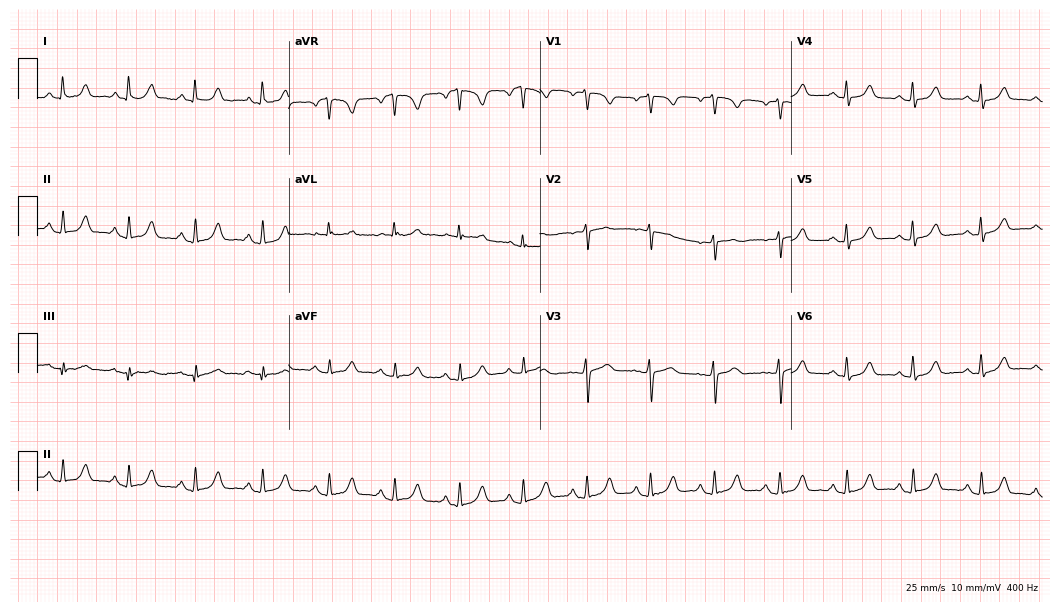
12-lead ECG from a female patient, 57 years old. Screened for six findings — first-degree AV block, right bundle branch block (RBBB), left bundle branch block (LBBB), sinus bradycardia, atrial fibrillation (AF), sinus tachycardia — none is recorded.